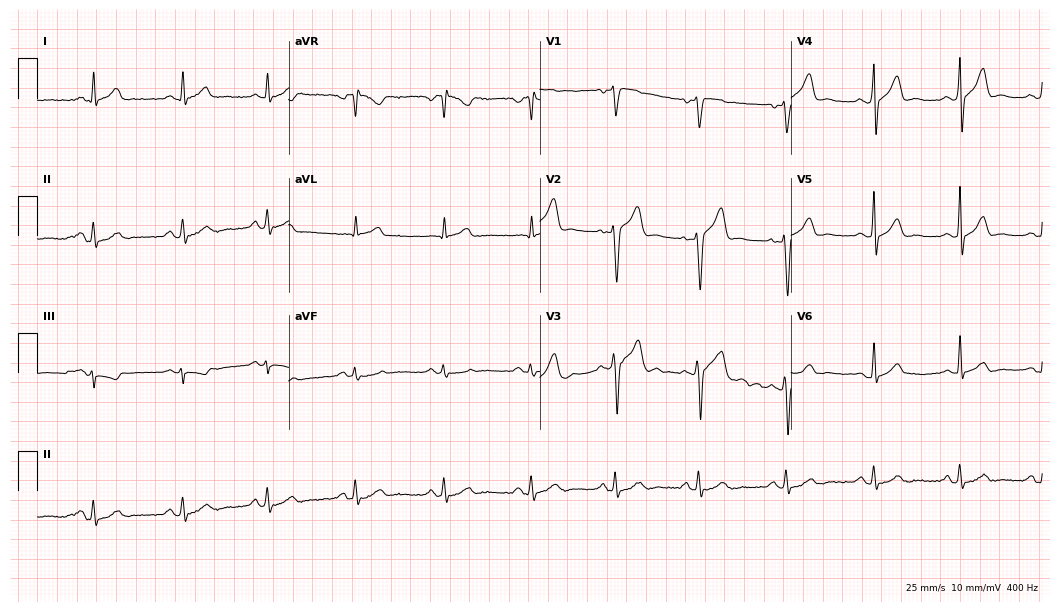
Standard 12-lead ECG recorded from a male, 42 years old. Read as a normal ECG.